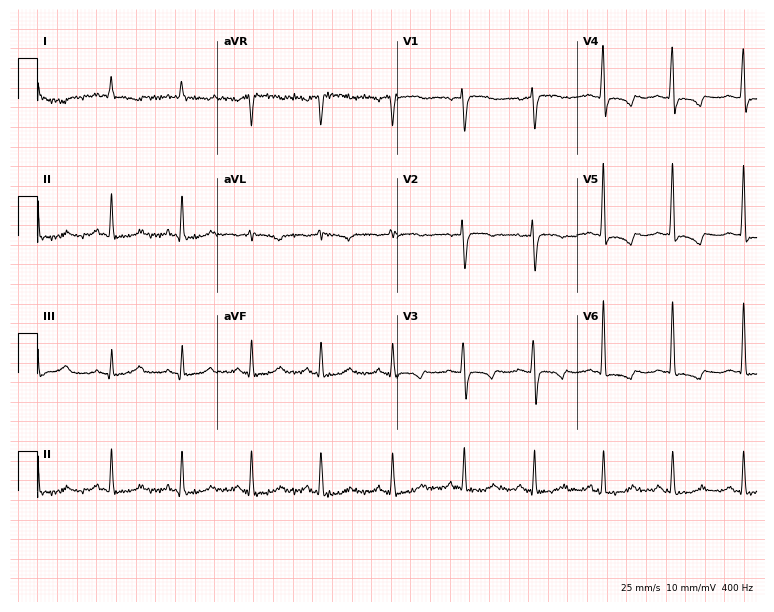
12-lead ECG from a woman, 56 years old. Screened for six findings — first-degree AV block, right bundle branch block (RBBB), left bundle branch block (LBBB), sinus bradycardia, atrial fibrillation (AF), sinus tachycardia — none is recorded.